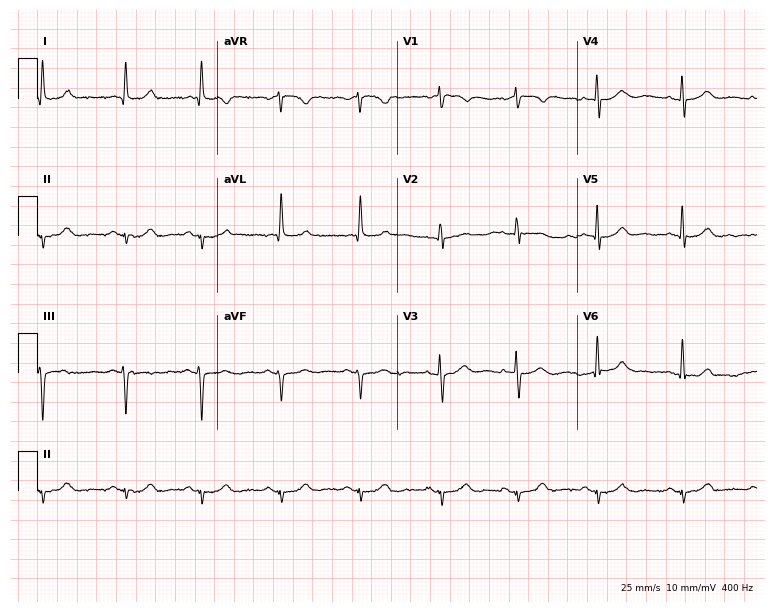
12-lead ECG from a female patient, 83 years old. Screened for six findings — first-degree AV block, right bundle branch block, left bundle branch block, sinus bradycardia, atrial fibrillation, sinus tachycardia — none is recorded.